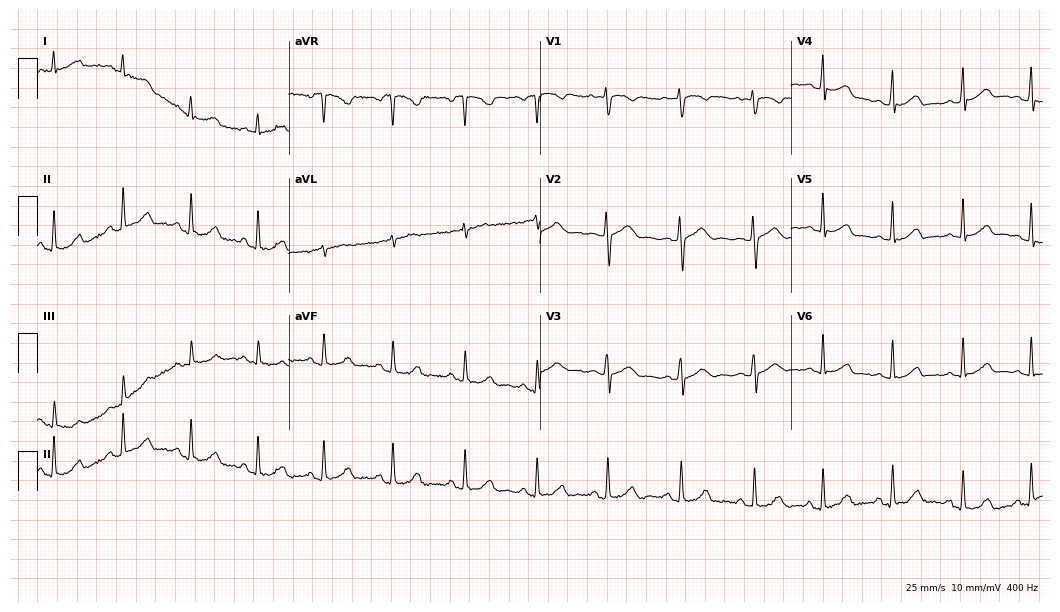
Electrocardiogram, a 25-year-old female patient. Overall reading on record: normal ECG.